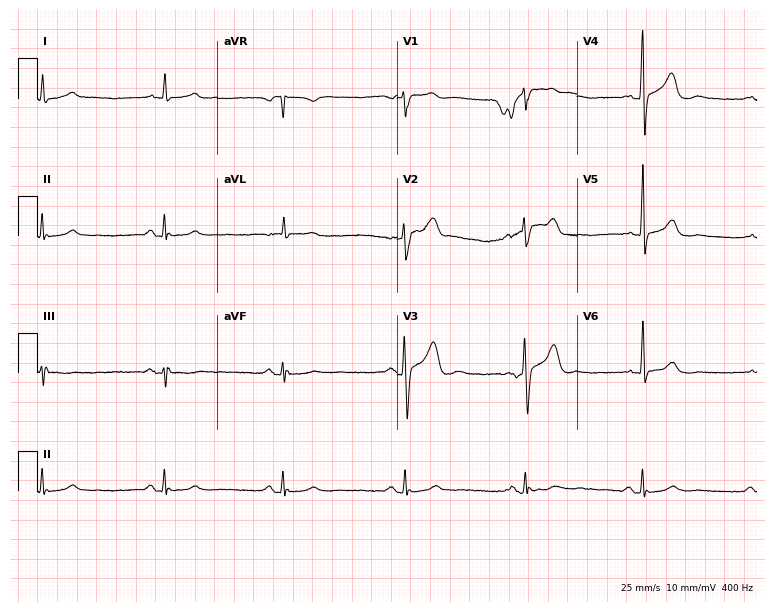
Standard 12-lead ECG recorded from a male, 69 years old. None of these six findings is recorded: first-degree AV block, right bundle branch block, left bundle branch block, sinus bradycardia, atrial fibrillation, sinus tachycardia.